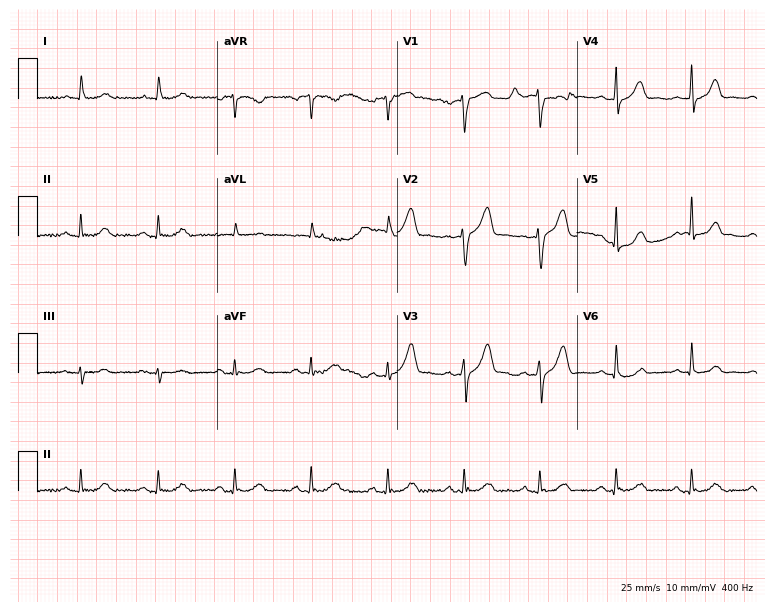
Resting 12-lead electrocardiogram. Patient: a 79-year-old man. Read as a normal ECG.